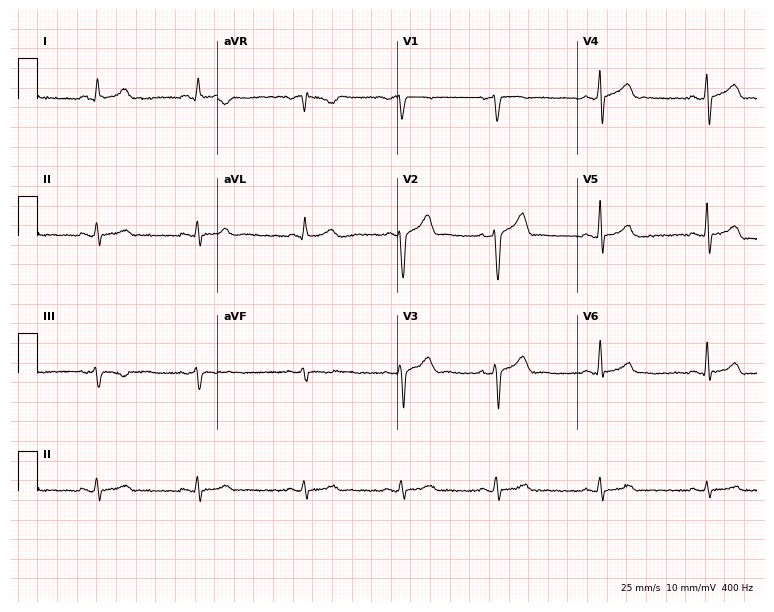
Electrocardiogram, a 54-year-old male patient. Overall reading on record: normal ECG.